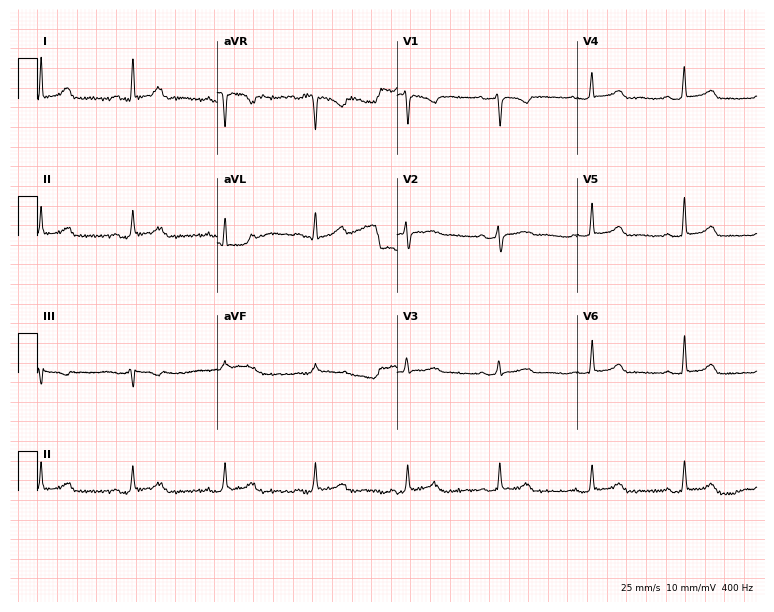
Electrocardiogram, a female patient, 46 years old. Overall reading on record: normal ECG.